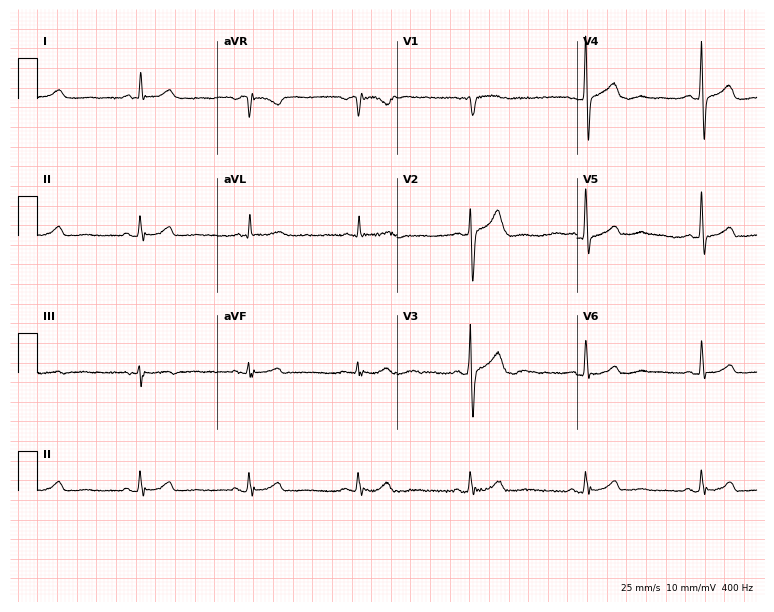
ECG (7.3-second recording at 400 Hz) — a male patient, 80 years old. Screened for six findings — first-degree AV block, right bundle branch block (RBBB), left bundle branch block (LBBB), sinus bradycardia, atrial fibrillation (AF), sinus tachycardia — none is recorded.